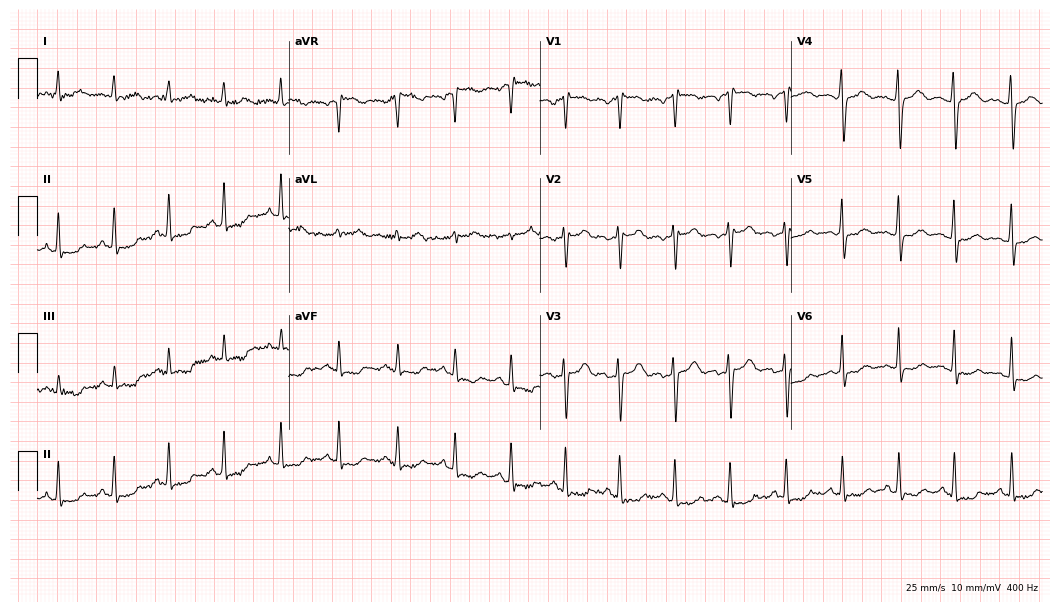
Resting 12-lead electrocardiogram (10.2-second recording at 400 Hz). Patient: a 28-year-old woman. None of these six findings is recorded: first-degree AV block, right bundle branch block, left bundle branch block, sinus bradycardia, atrial fibrillation, sinus tachycardia. Findings outside these six are not listed.